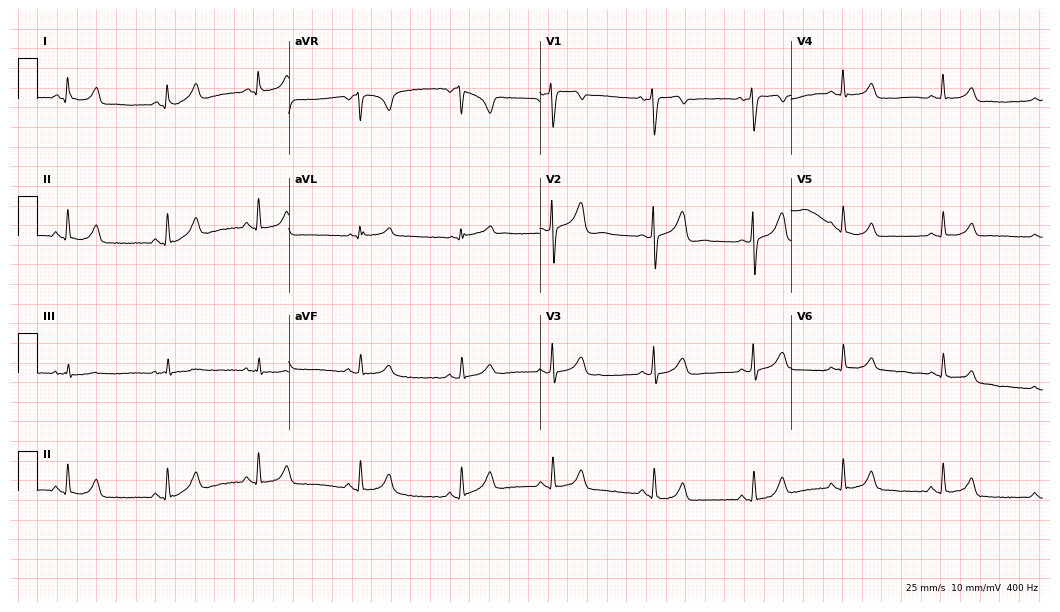
Standard 12-lead ECG recorded from a 39-year-old woman (10.2-second recording at 400 Hz). None of these six findings is recorded: first-degree AV block, right bundle branch block, left bundle branch block, sinus bradycardia, atrial fibrillation, sinus tachycardia.